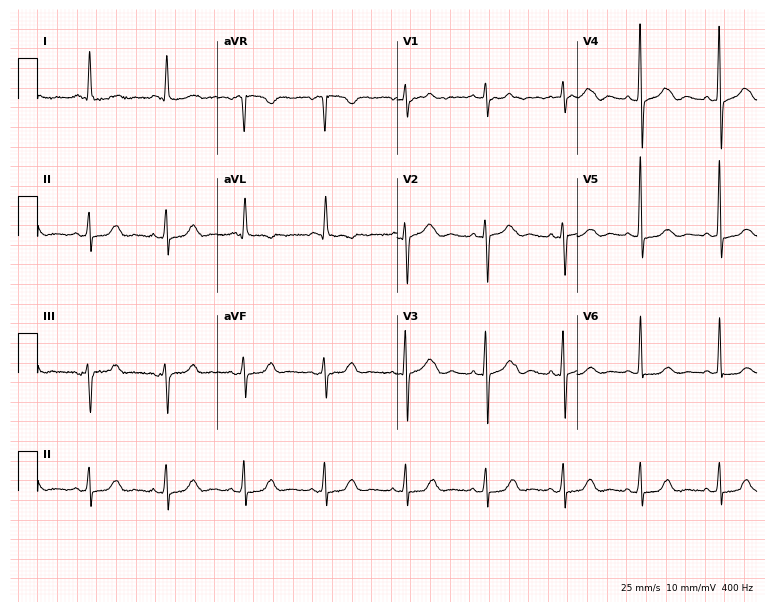
12-lead ECG from a female, 82 years old (7.3-second recording at 400 Hz). No first-degree AV block, right bundle branch block (RBBB), left bundle branch block (LBBB), sinus bradycardia, atrial fibrillation (AF) or sinus tachycardia recorded for this tracing. Only these six findings were labelled.